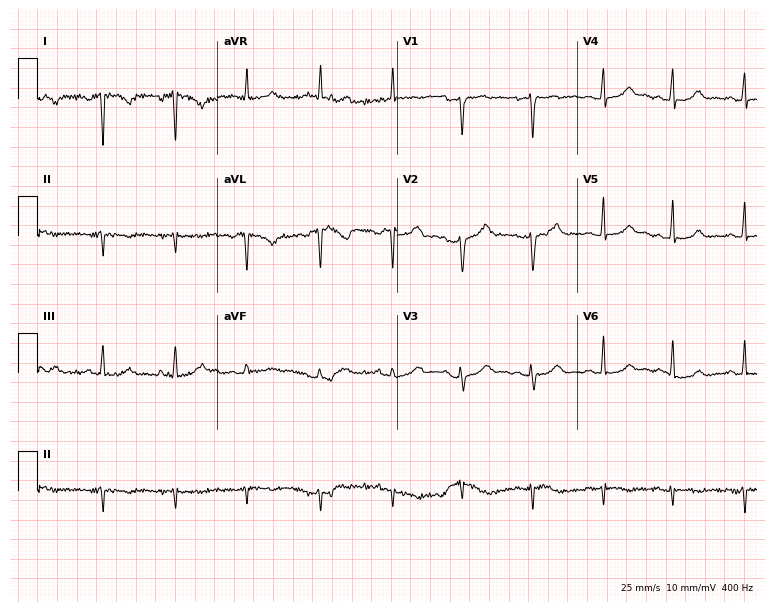
Resting 12-lead electrocardiogram (7.3-second recording at 400 Hz). Patient: a 26-year-old female. None of these six findings is recorded: first-degree AV block, right bundle branch block, left bundle branch block, sinus bradycardia, atrial fibrillation, sinus tachycardia.